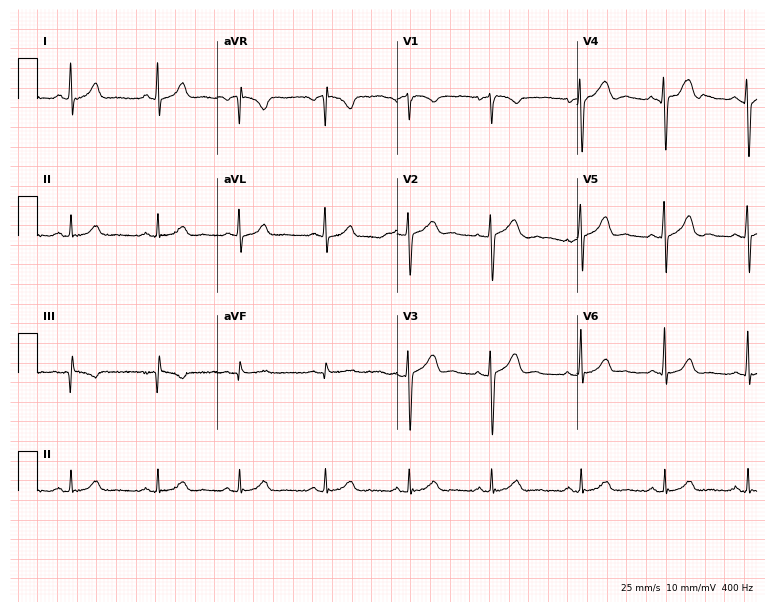
12-lead ECG from a 30-year-old man. Labelled as a normal ECG.